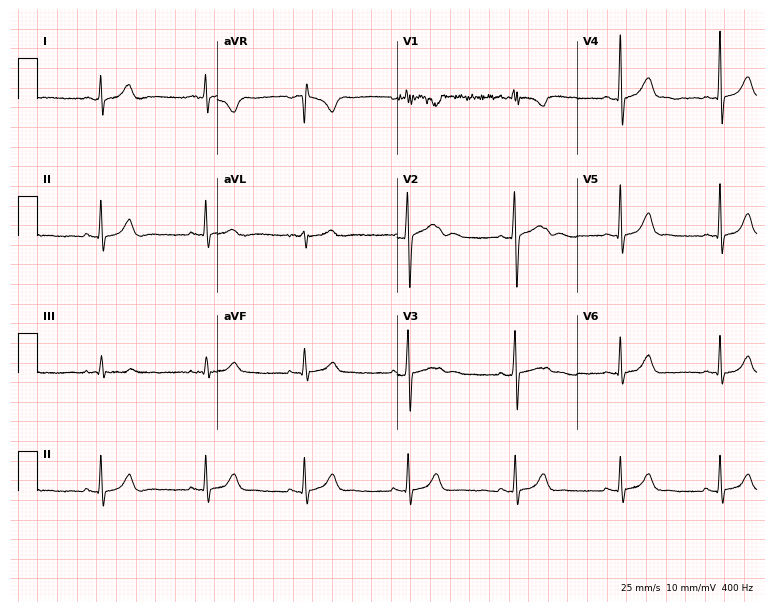
Resting 12-lead electrocardiogram. Patient: a male, 22 years old. Read as a normal ECG.